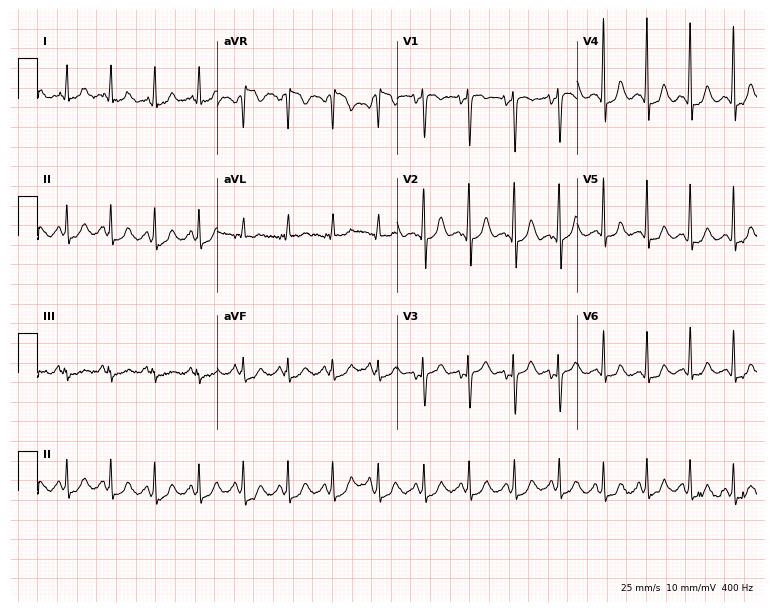
Electrocardiogram, a woman, 31 years old. Interpretation includes sinus tachycardia (a sinus rate of 100 beats per minute or more).